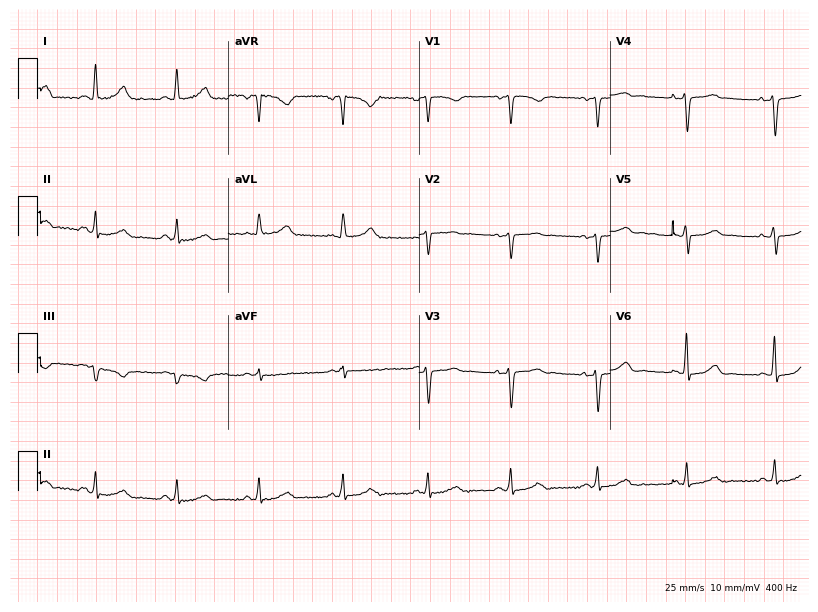
12-lead ECG from a woman, 49 years old. No first-degree AV block, right bundle branch block, left bundle branch block, sinus bradycardia, atrial fibrillation or sinus tachycardia recorded for this tracing. Only these six findings were labelled.